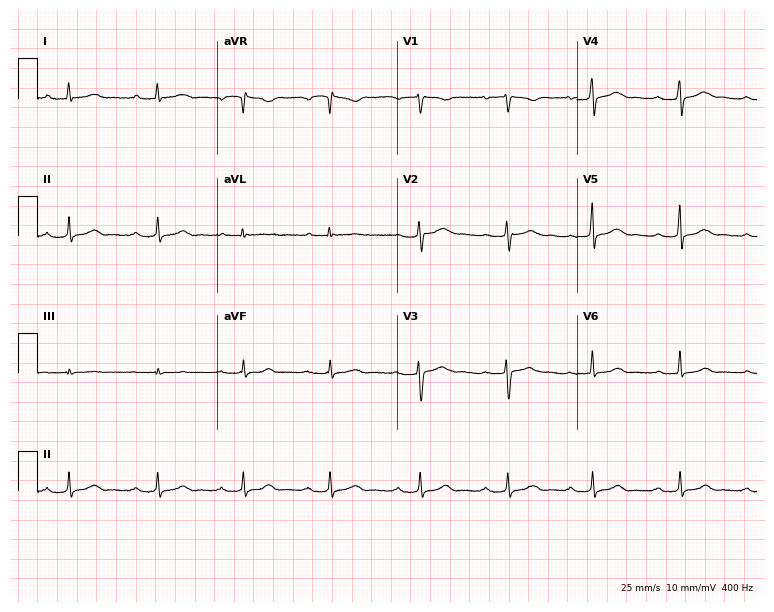
Standard 12-lead ECG recorded from a 46-year-old woman (7.3-second recording at 400 Hz). The tracing shows first-degree AV block.